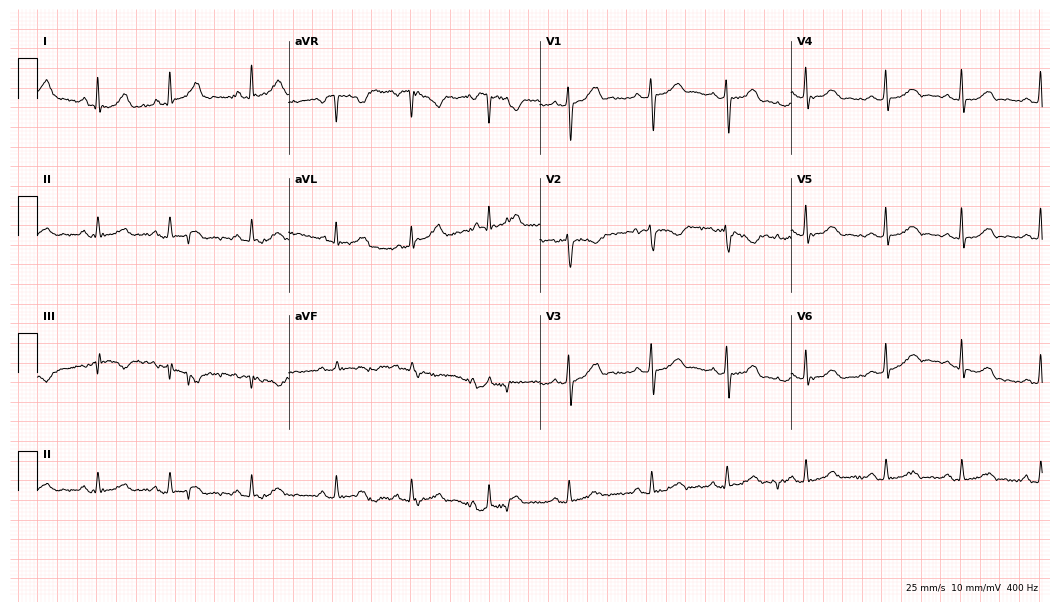
ECG (10.2-second recording at 400 Hz) — a female patient, 51 years old. Labelled as a normal ECG.